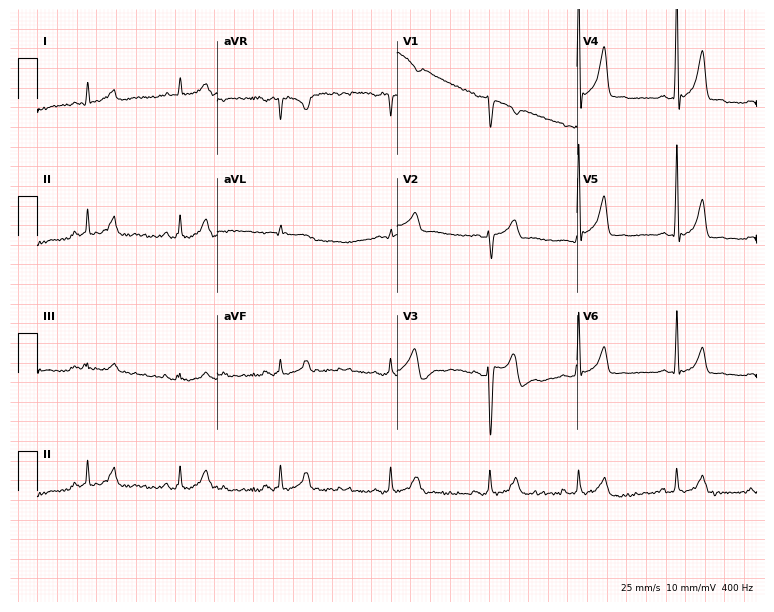
Electrocardiogram, a 17-year-old male. Of the six screened findings (first-degree AV block, right bundle branch block (RBBB), left bundle branch block (LBBB), sinus bradycardia, atrial fibrillation (AF), sinus tachycardia), none is recorded.